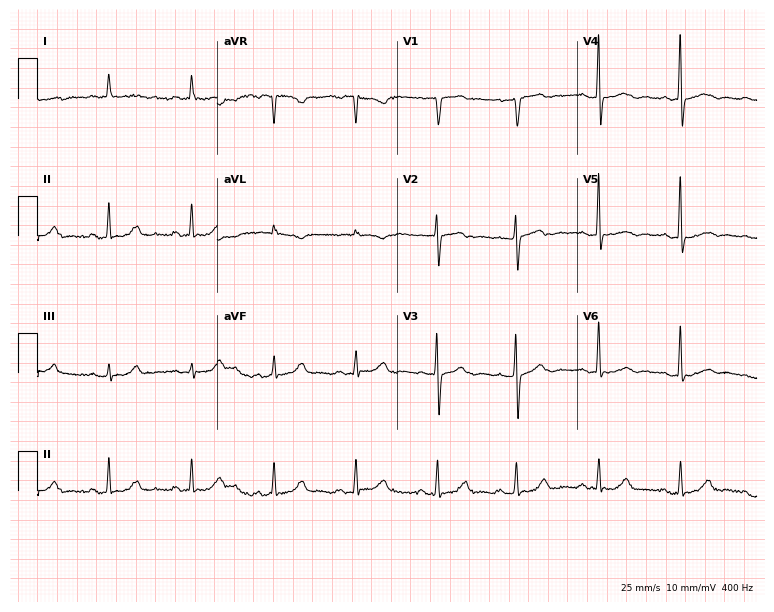
12-lead ECG from a male patient, 80 years old. Screened for six findings — first-degree AV block, right bundle branch block, left bundle branch block, sinus bradycardia, atrial fibrillation, sinus tachycardia — none is recorded.